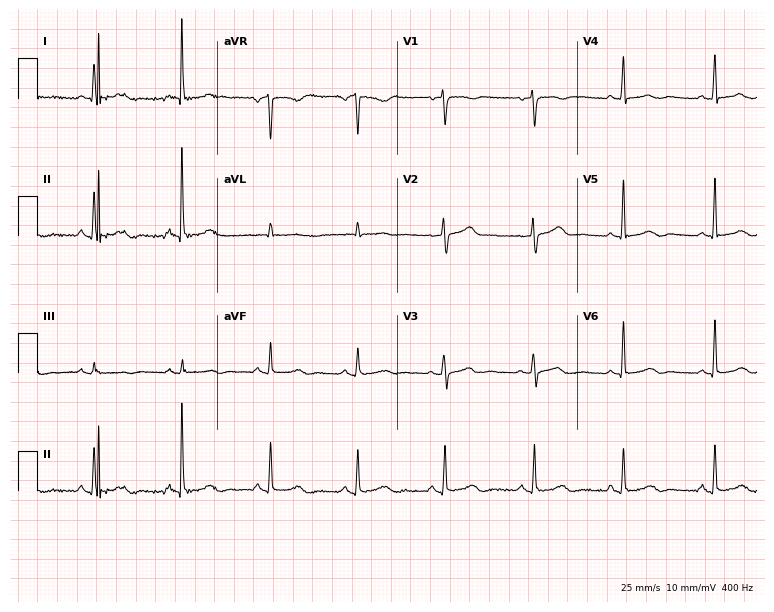
Electrocardiogram (7.3-second recording at 400 Hz), a female, 51 years old. Of the six screened findings (first-degree AV block, right bundle branch block (RBBB), left bundle branch block (LBBB), sinus bradycardia, atrial fibrillation (AF), sinus tachycardia), none is recorded.